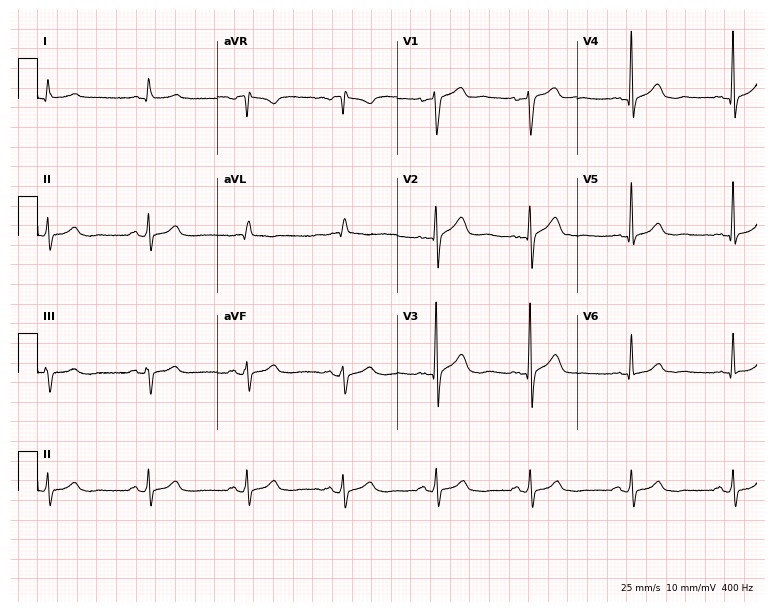
ECG (7.3-second recording at 400 Hz) — a male patient, 61 years old. Screened for six findings — first-degree AV block, right bundle branch block (RBBB), left bundle branch block (LBBB), sinus bradycardia, atrial fibrillation (AF), sinus tachycardia — none is recorded.